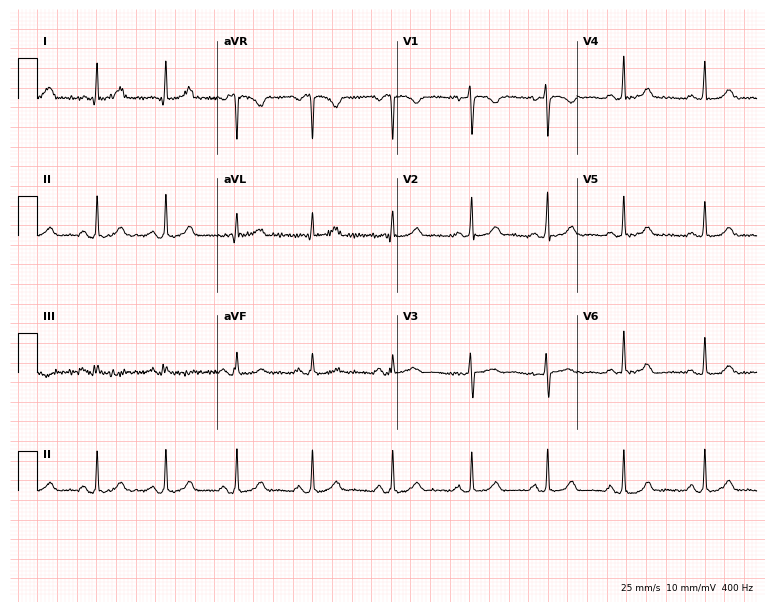
Resting 12-lead electrocardiogram. Patient: a woman, 29 years old. Read as a normal ECG.